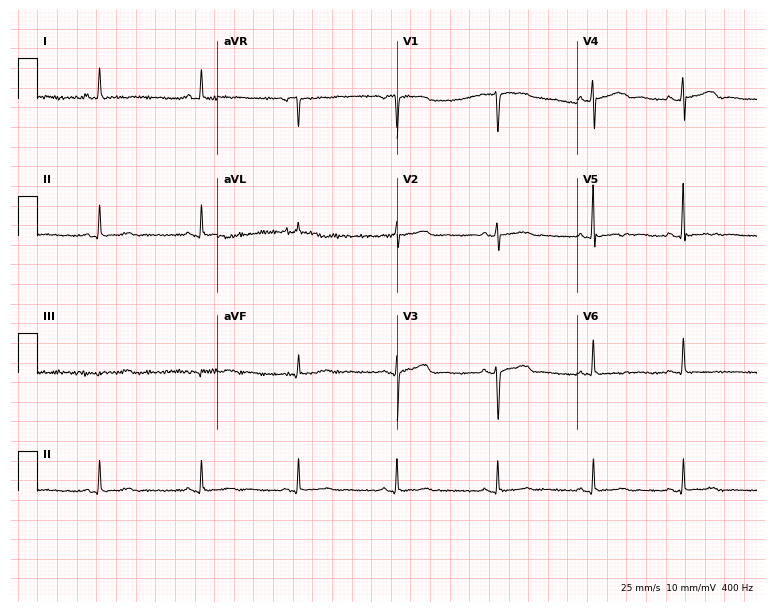
Resting 12-lead electrocardiogram (7.3-second recording at 400 Hz). Patient: a woman, 61 years old. None of these six findings is recorded: first-degree AV block, right bundle branch block, left bundle branch block, sinus bradycardia, atrial fibrillation, sinus tachycardia.